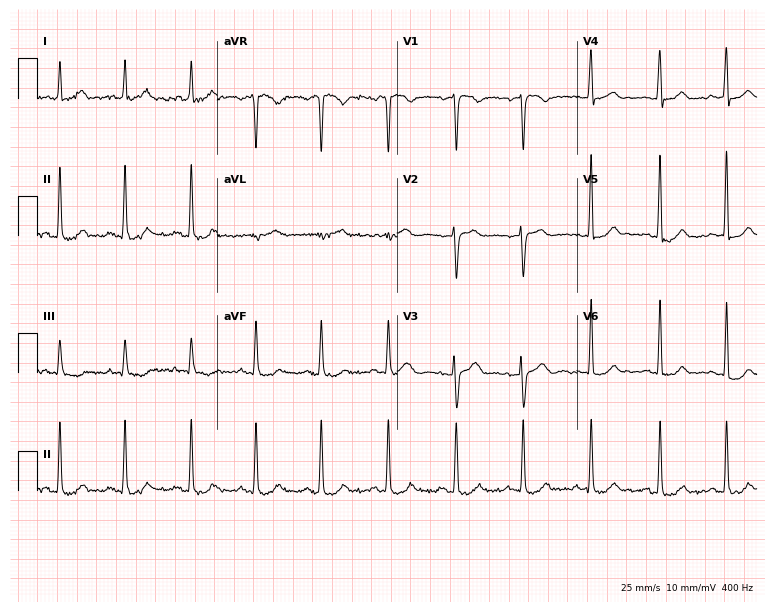
Electrocardiogram (7.3-second recording at 400 Hz), a 39-year-old female patient. Overall reading on record: normal ECG.